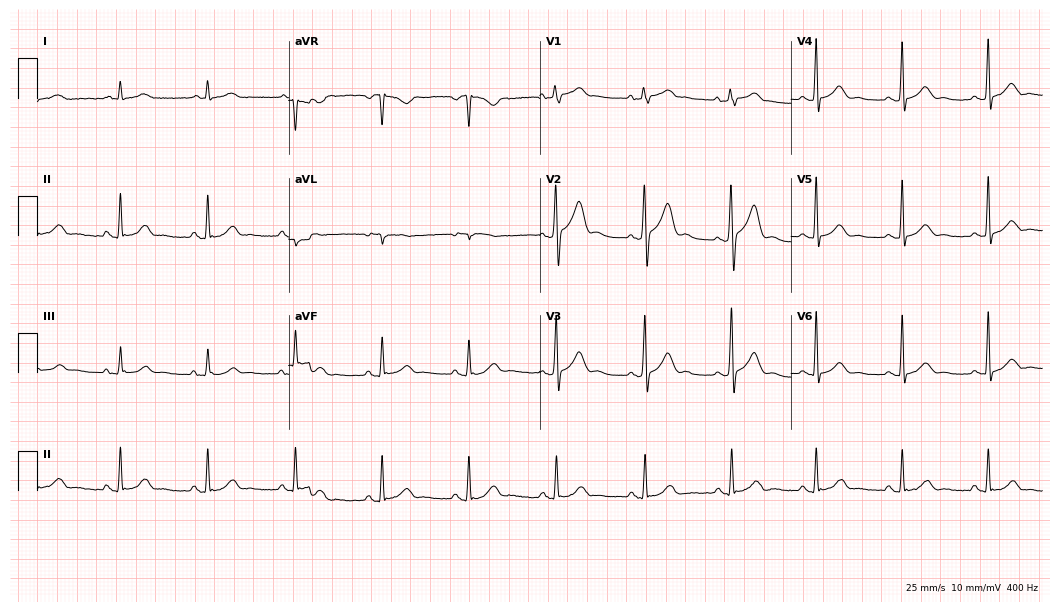
12-lead ECG from an 83-year-old male patient (10.2-second recording at 400 Hz). Recorded interpretation: within normal limits.